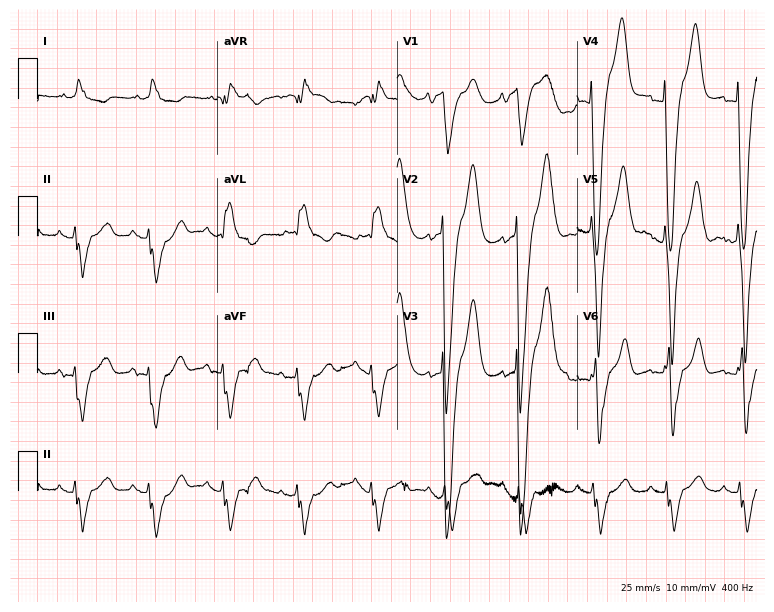
Electrocardiogram (7.3-second recording at 400 Hz), a 72-year-old male. Interpretation includes left bundle branch block (LBBB).